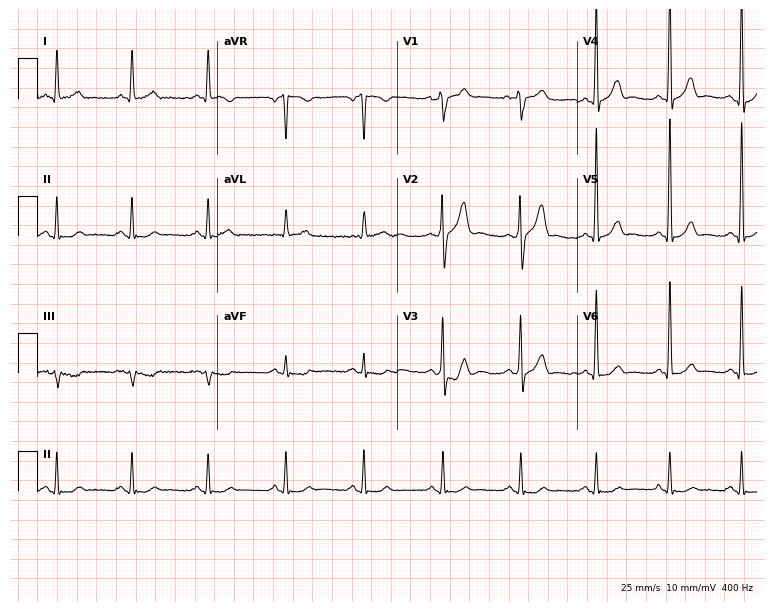
Standard 12-lead ECG recorded from a 62-year-old man. Read as a normal ECG.